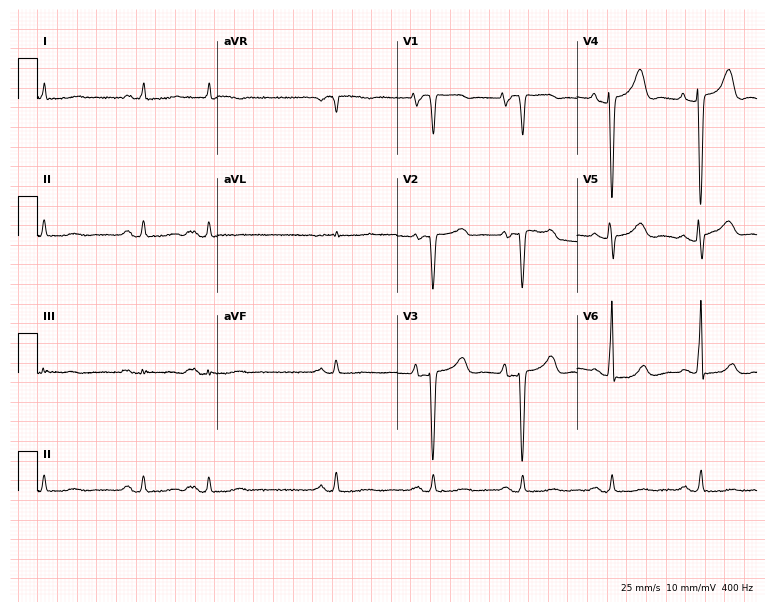
Standard 12-lead ECG recorded from a woman, 81 years old. None of these six findings is recorded: first-degree AV block, right bundle branch block (RBBB), left bundle branch block (LBBB), sinus bradycardia, atrial fibrillation (AF), sinus tachycardia. Other findings, if any, are not listed.